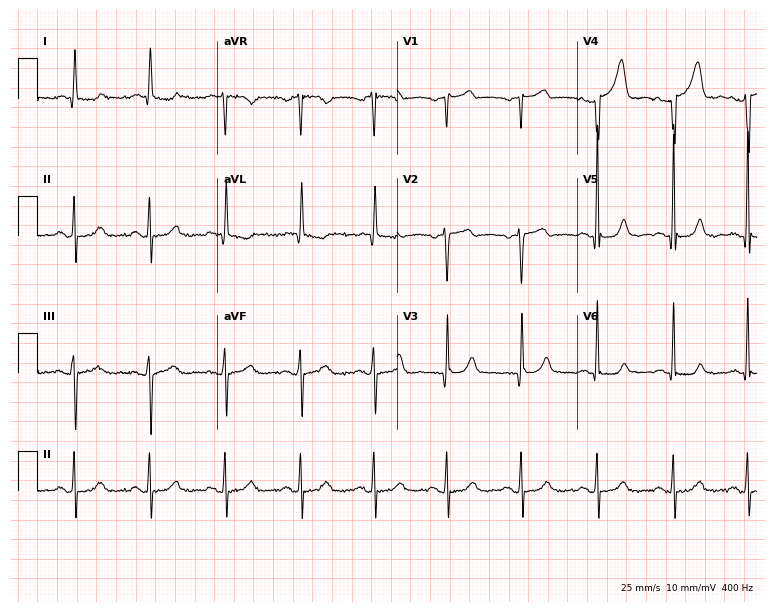
Electrocardiogram (7.3-second recording at 400 Hz), a female patient, 80 years old. Of the six screened findings (first-degree AV block, right bundle branch block, left bundle branch block, sinus bradycardia, atrial fibrillation, sinus tachycardia), none is recorded.